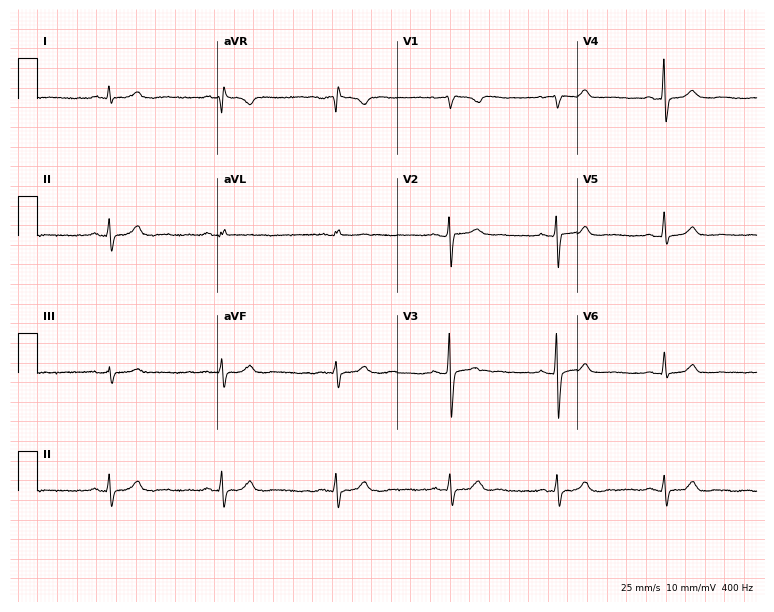
12-lead ECG from a female, 50 years old (7.3-second recording at 400 Hz). Recorded interpretation: within normal limits.